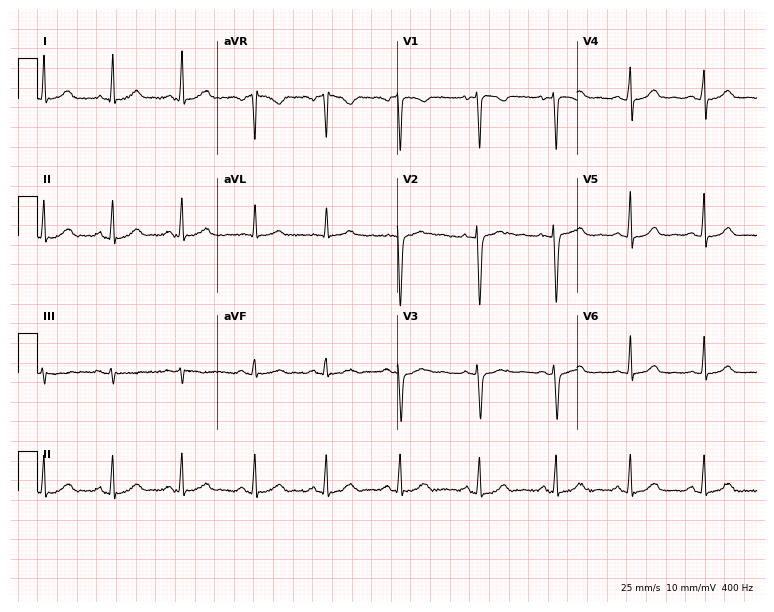
Resting 12-lead electrocardiogram. Patient: a 29-year-old female. Read as a normal ECG.